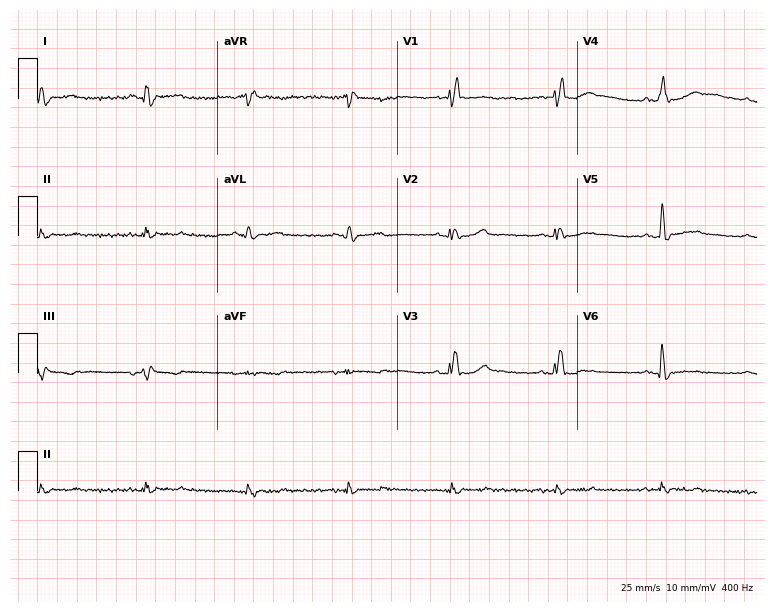
12-lead ECG (7.3-second recording at 400 Hz) from a male, 60 years old. Screened for six findings — first-degree AV block, right bundle branch block, left bundle branch block, sinus bradycardia, atrial fibrillation, sinus tachycardia — none is recorded.